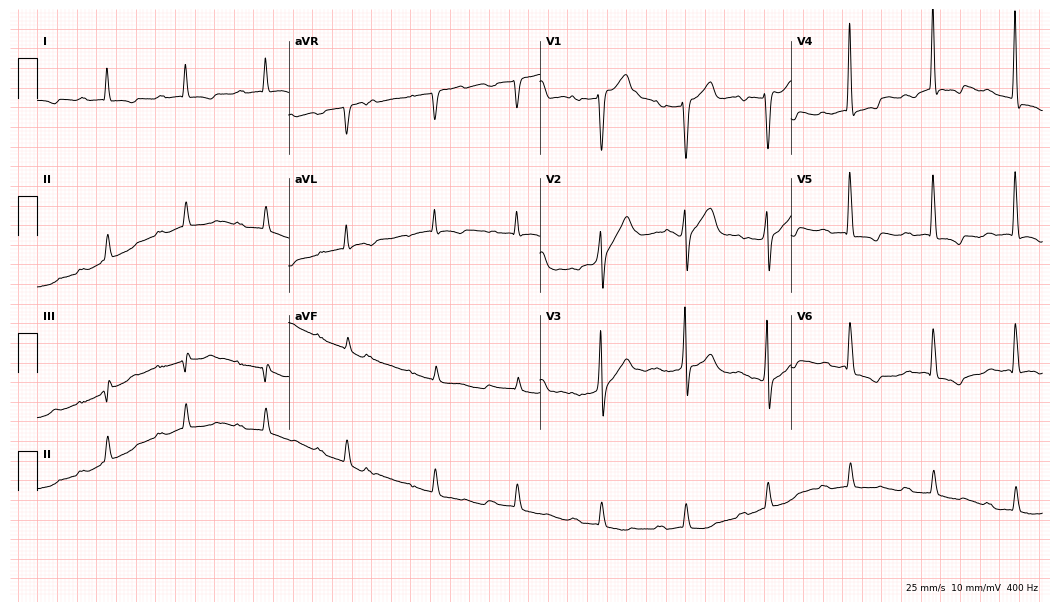
Standard 12-lead ECG recorded from a man, 70 years old. None of these six findings is recorded: first-degree AV block, right bundle branch block, left bundle branch block, sinus bradycardia, atrial fibrillation, sinus tachycardia.